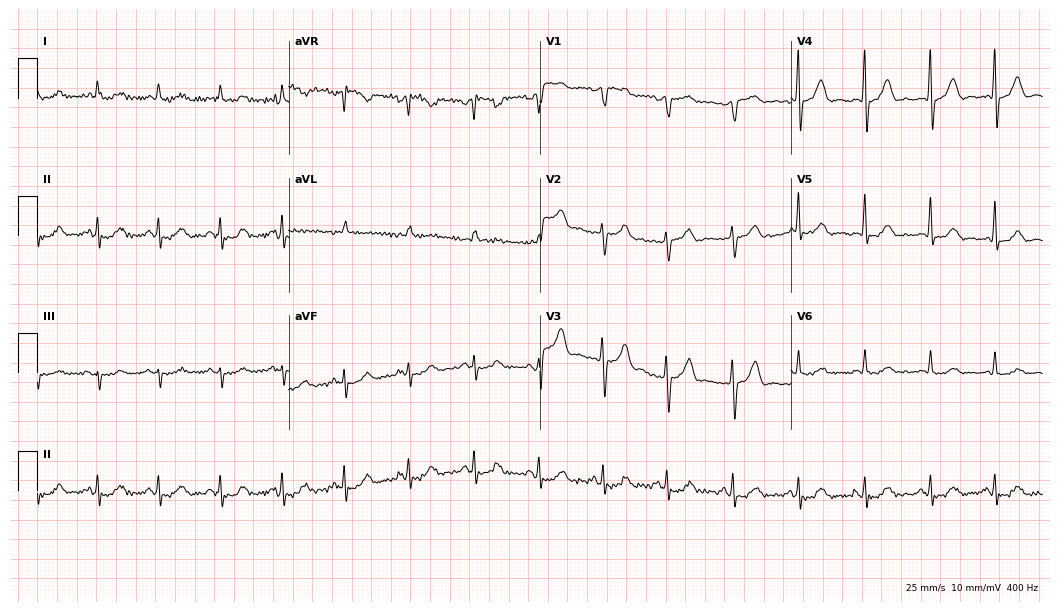
ECG (10.2-second recording at 400 Hz) — a 63-year-old male patient. Labelled as a normal ECG.